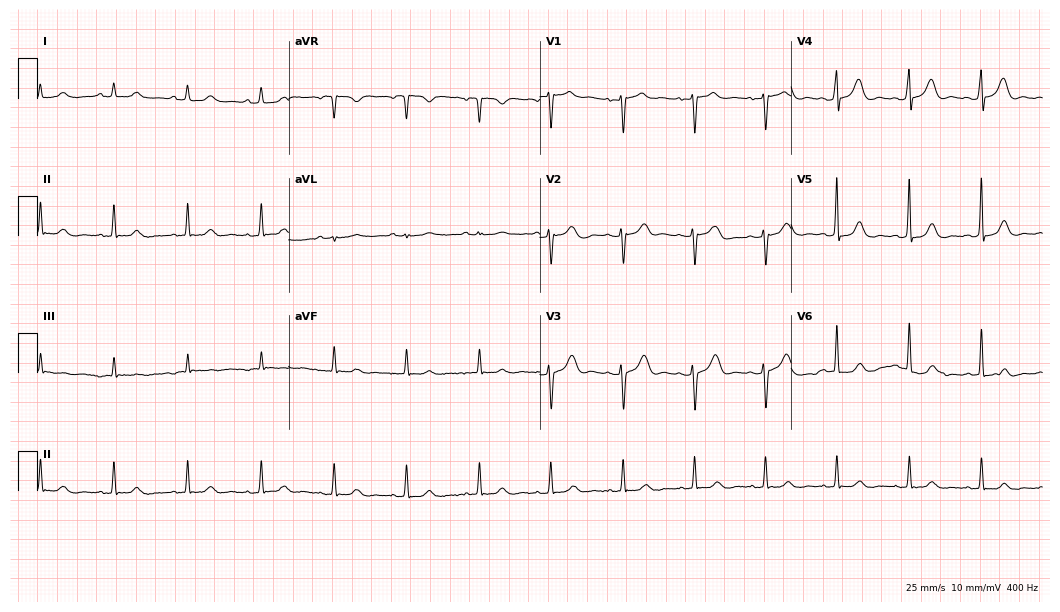
12-lead ECG from a female patient, 45 years old. Labelled as a normal ECG.